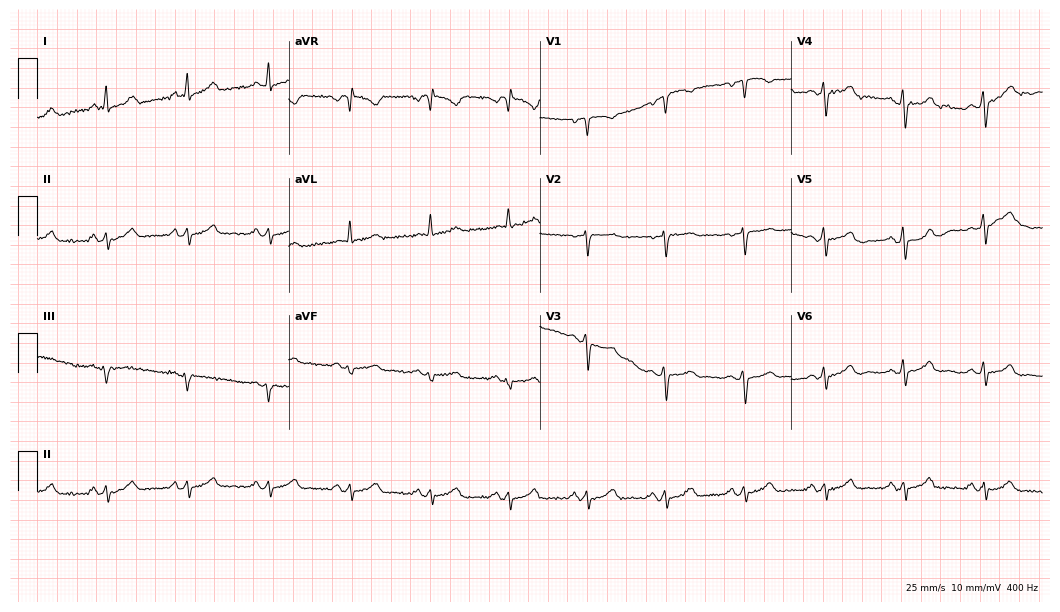
Resting 12-lead electrocardiogram. Patient: a 52-year-old woman. None of these six findings is recorded: first-degree AV block, right bundle branch block, left bundle branch block, sinus bradycardia, atrial fibrillation, sinus tachycardia.